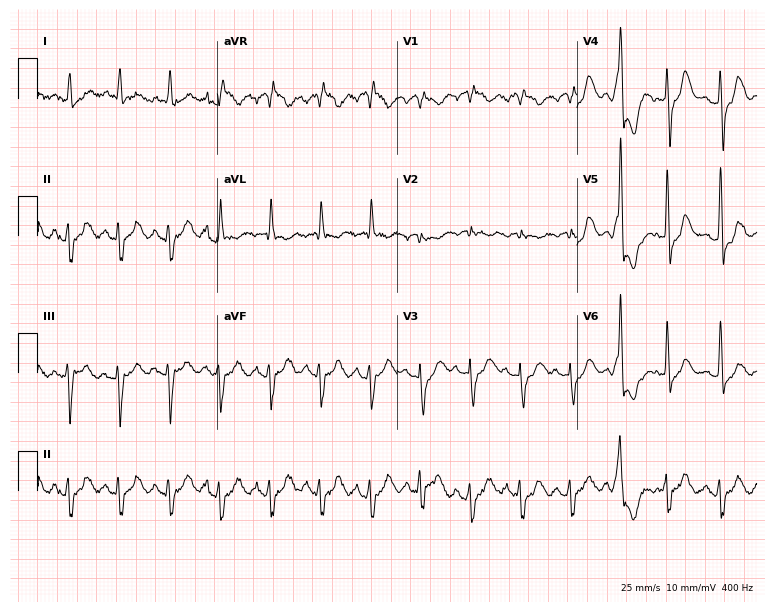
12-lead ECG from a man, 84 years old. Findings include sinus tachycardia (a sinus rate of 100 beats per minute or more).